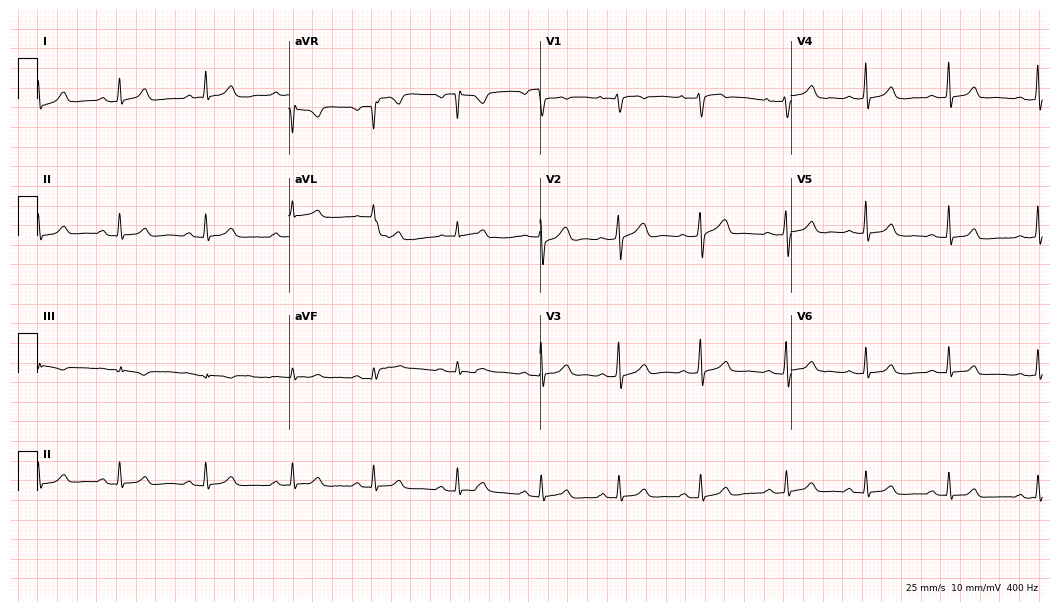
12-lead ECG from a 23-year-old woman. Recorded interpretation: within normal limits.